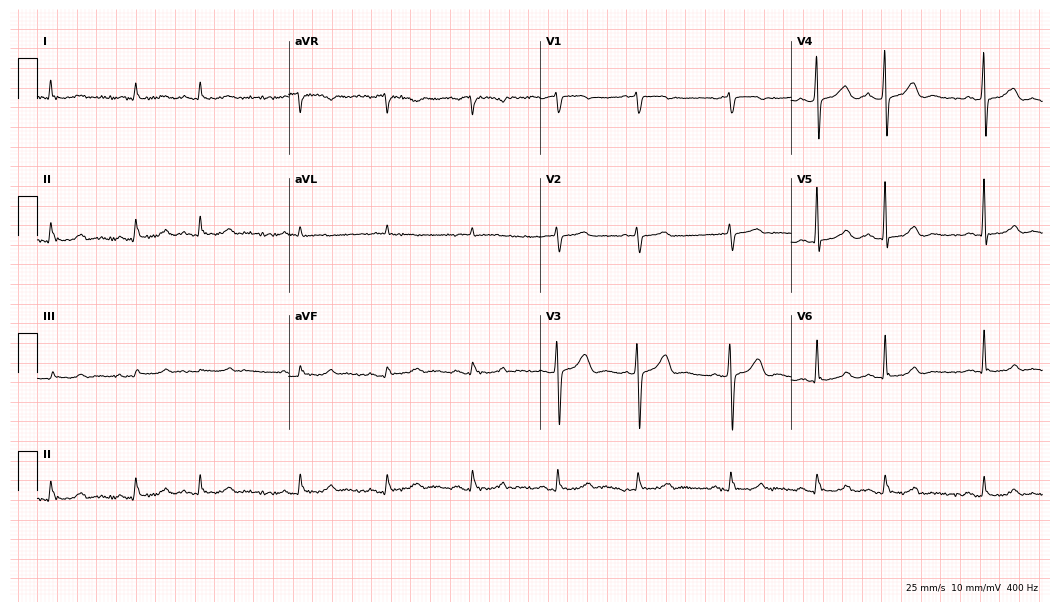
Electrocardiogram, a 73-year-old female. Overall reading on record: normal ECG.